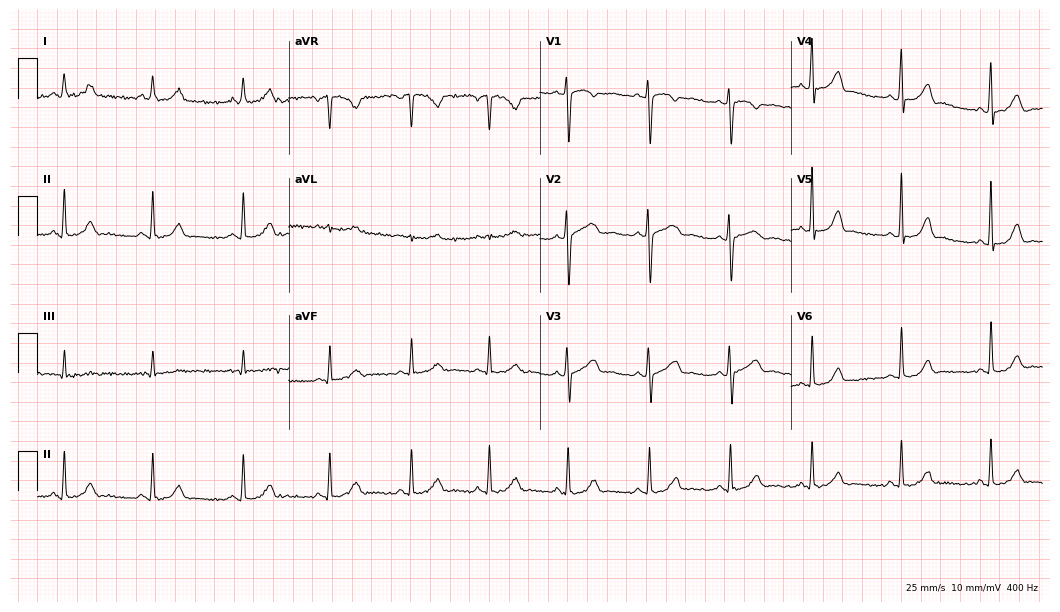
Resting 12-lead electrocardiogram. Patient: a 33-year-old female. Read as a normal ECG.